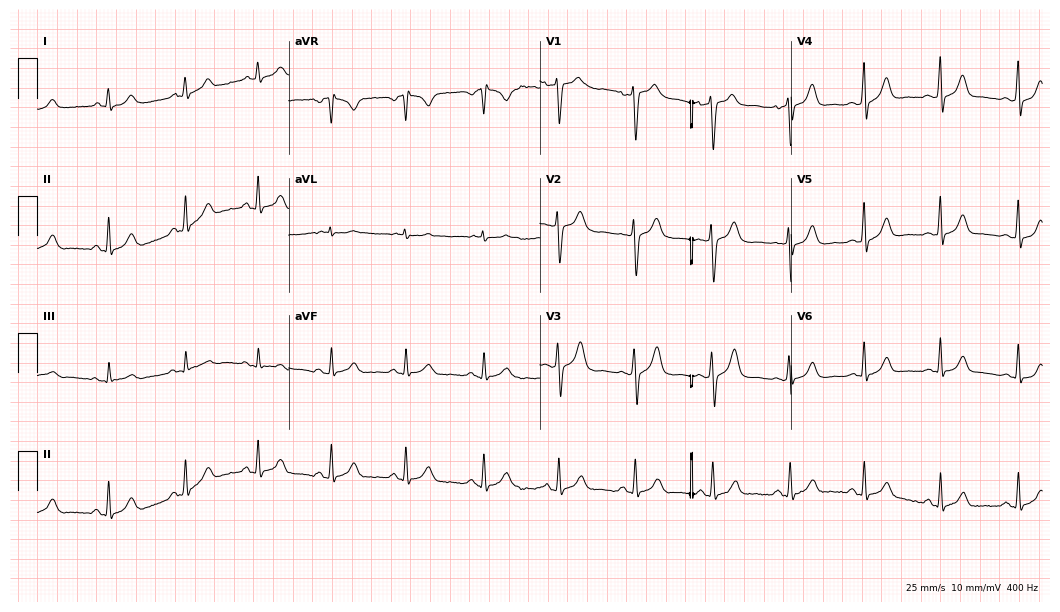
Resting 12-lead electrocardiogram (10.2-second recording at 400 Hz). Patient: a 30-year-old woman. Read as a normal ECG.